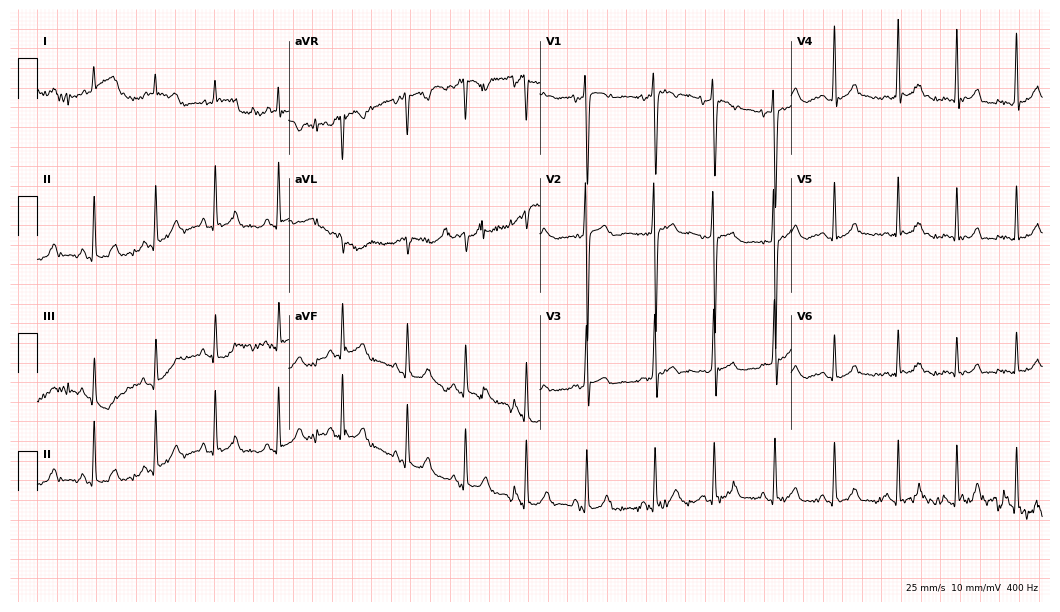
Resting 12-lead electrocardiogram. Patient: a male, 17 years old. Read as a normal ECG.